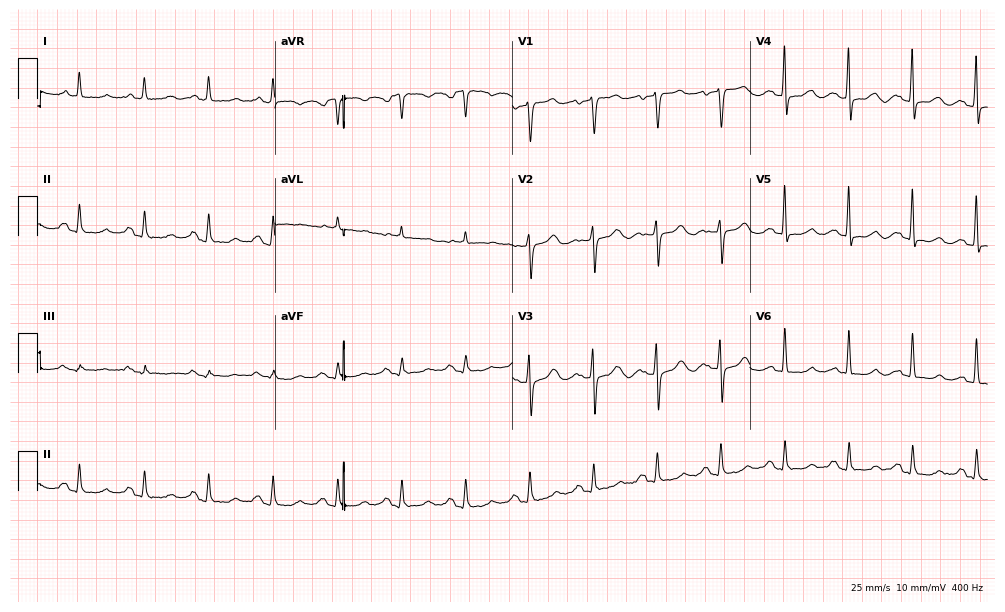
12-lead ECG from an 83-year-old female (9.7-second recording at 400 Hz). Recorded interpretation: within normal limits.